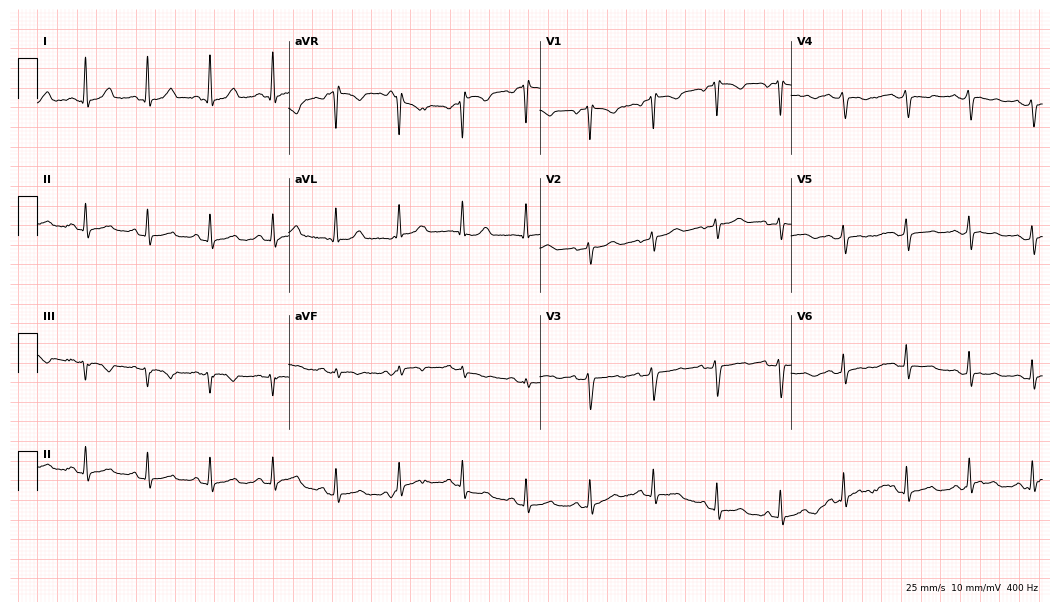
Standard 12-lead ECG recorded from a 59-year-old woman (10.2-second recording at 400 Hz). None of these six findings is recorded: first-degree AV block, right bundle branch block, left bundle branch block, sinus bradycardia, atrial fibrillation, sinus tachycardia. Other findings, if any, are not listed.